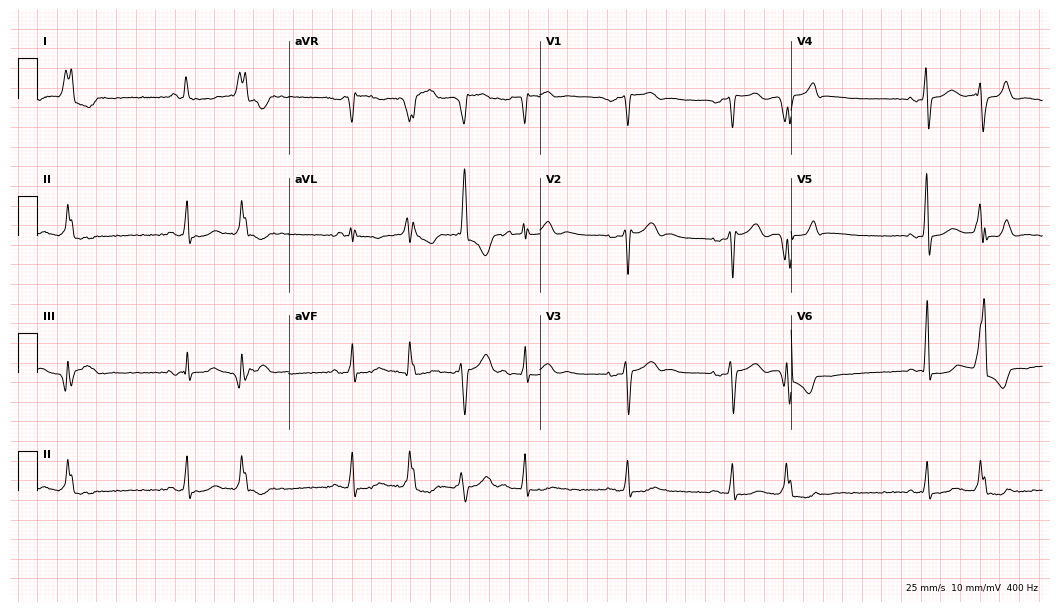
Electrocardiogram, a male, 47 years old. Of the six screened findings (first-degree AV block, right bundle branch block (RBBB), left bundle branch block (LBBB), sinus bradycardia, atrial fibrillation (AF), sinus tachycardia), none is recorded. Other findings, if any, are not listed.